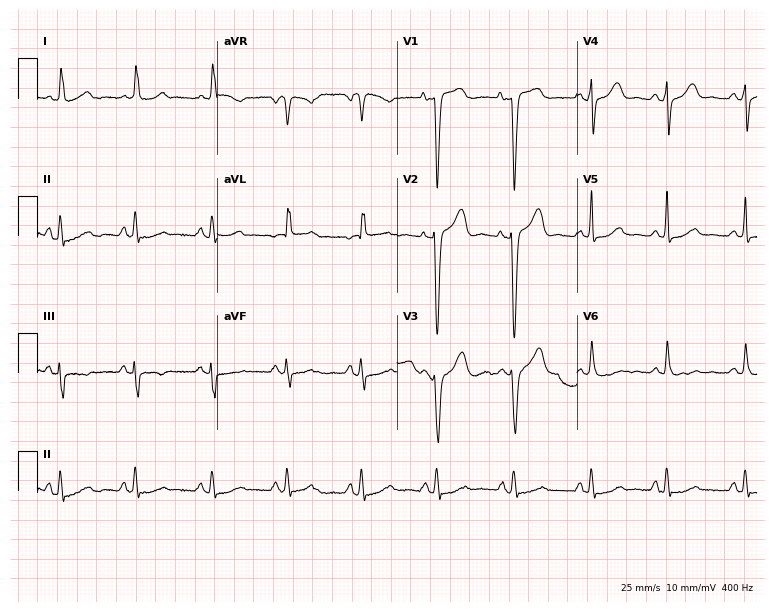
12-lead ECG (7.3-second recording at 400 Hz) from a 71-year-old woman. Screened for six findings — first-degree AV block, right bundle branch block, left bundle branch block, sinus bradycardia, atrial fibrillation, sinus tachycardia — none is recorded. Other findings, if any, are not listed.